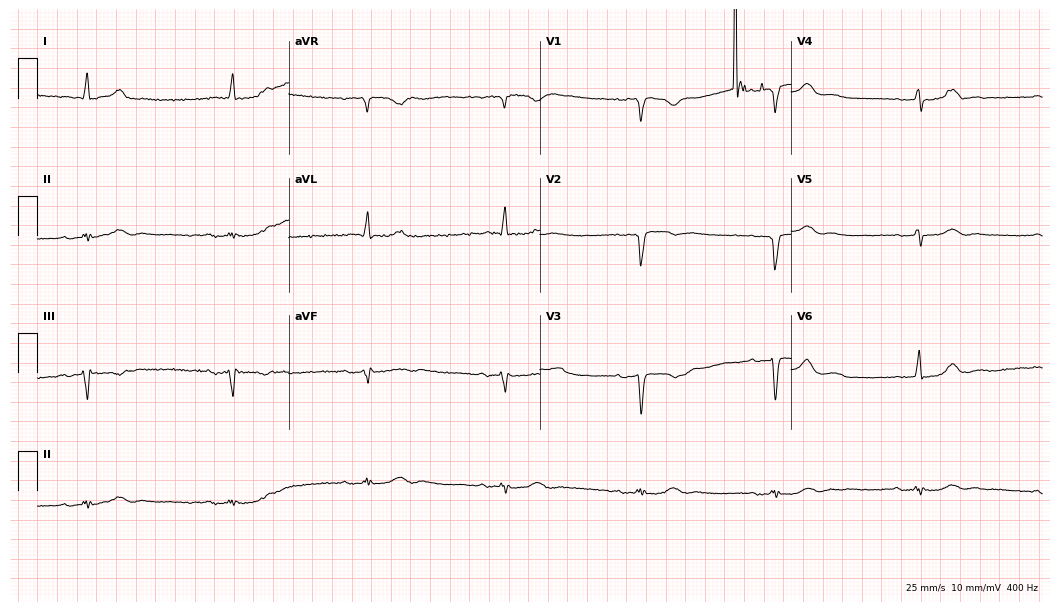
ECG — a woman, 85 years old. Screened for six findings — first-degree AV block, right bundle branch block, left bundle branch block, sinus bradycardia, atrial fibrillation, sinus tachycardia — none is recorded.